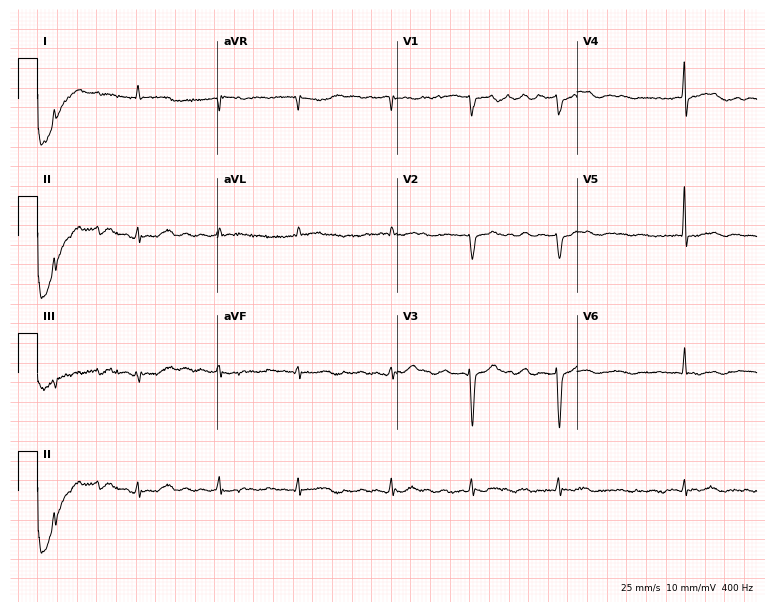
Resting 12-lead electrocardiogram. Patient: a 73-year-old female. None of these six findings is recorded: first-degree AV block, right bundle branch block, left bundle branch block, sinus bradycardia, atrial fibrillation, sinus tachycardia. Only these six findings were labelled.